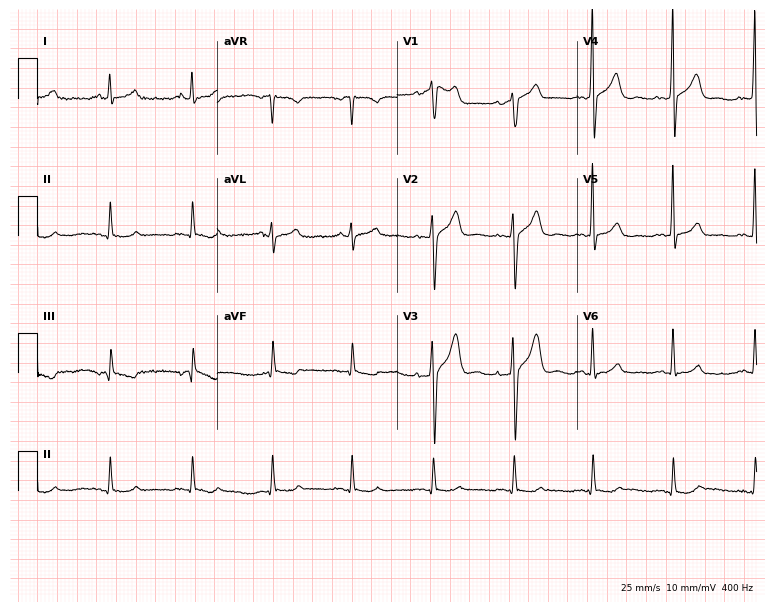
12-lead ECG from a male patient, 60 years old. Screened for six findings — first-degree AV block, right bundle branch block, left bundle branch block, sinus bradycardia, atrial fibrillation, sinus tachycardia — none is recorded.